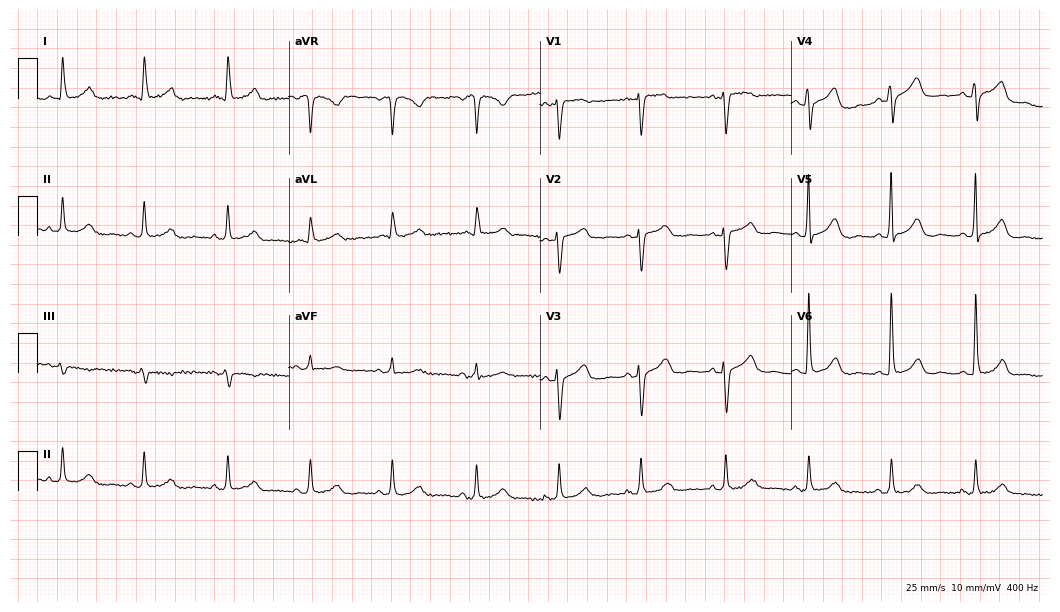
12-lead ECG from a female patient, 77 years old. Recorded interpretation: within normal limits.